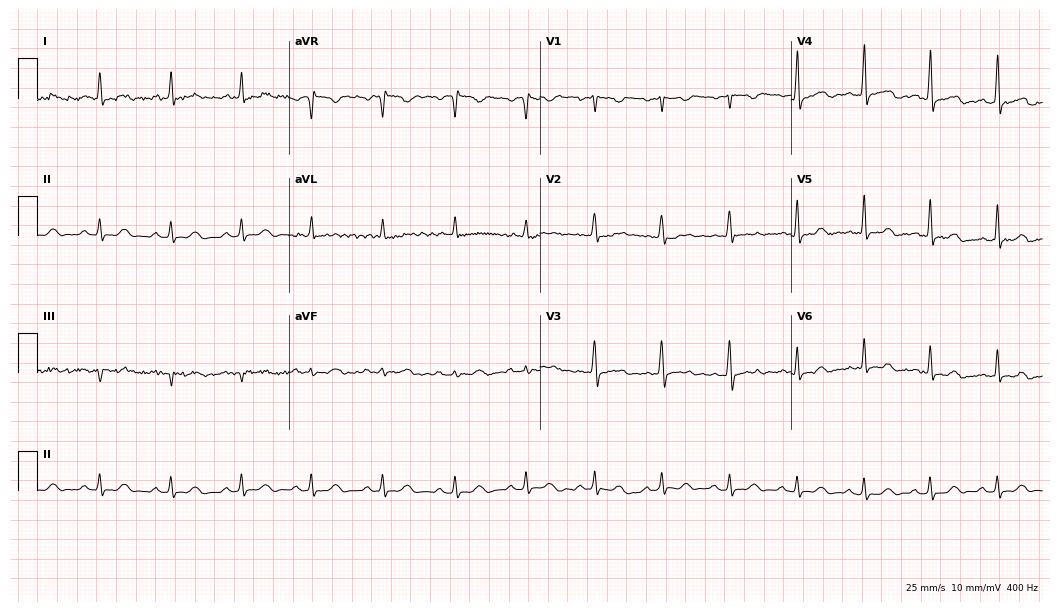
ECG — a female, 31 years old. Screened for six findings — first-degree AV block, right bundle branch block, left bundle branch block, sinus bradycardia, atrial fibrillation, sinus tachycardia — none is recorded. Only these six findings were labelled.